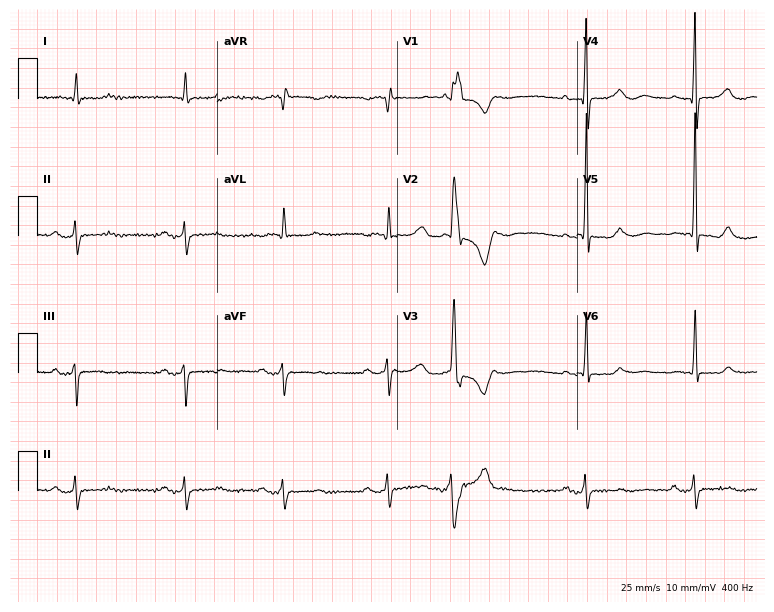
12-lead ECG from a woman, 84 years old. Labelled as a normal ECG.